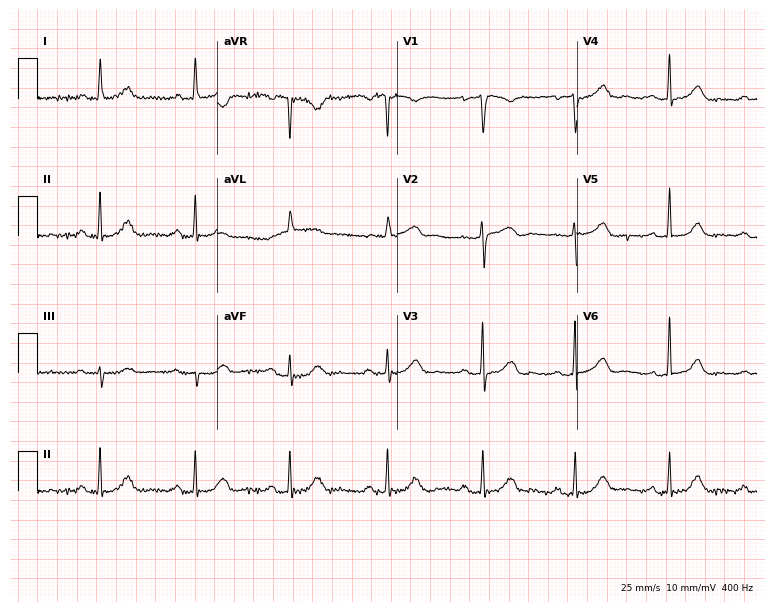
Resting 12-lead electrocardiogram. Patient: a woman, 72 years old. None of these six findings is recorded: first-degree AV block, right bundle branch block, left bundle branch block, sinus bradycardia, atrial fibrillation, sinus tachycardia. Findings outside these six are not listed.